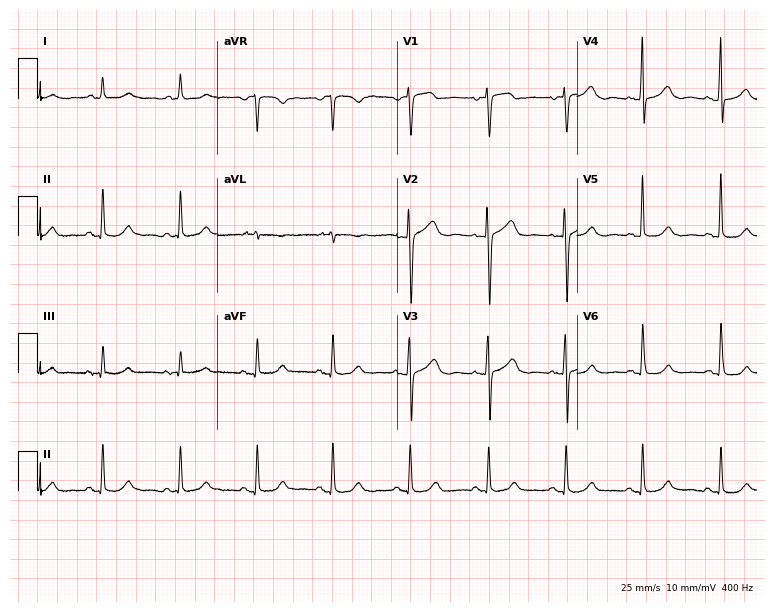
Resting 12-lead electrocardiogram (7.3-second recording at 400 Hz). Patient: a female, 68 years old. None of these six findings is recorded: first-degree AV block, right bundle branch block, left bundle branch block, sinus bradycardia, atrial fibrillation, sinus tachycardia.